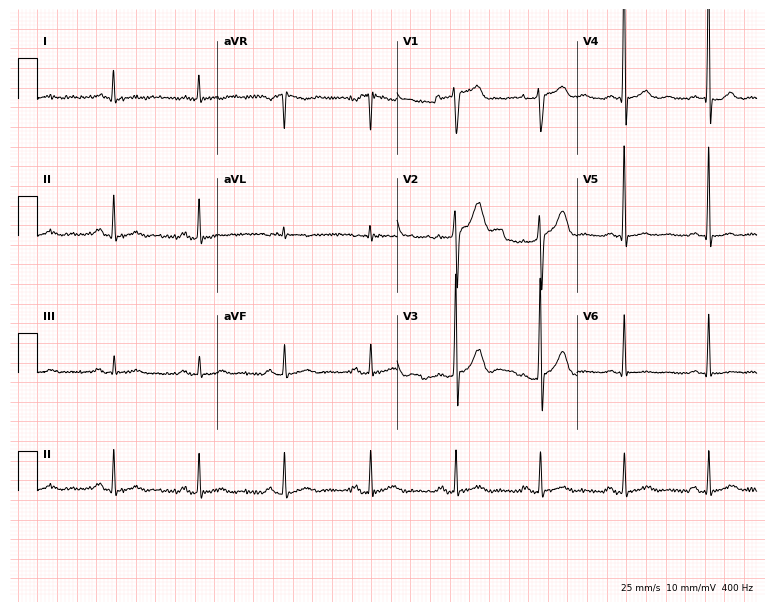
12-lead ECG from a man, 60 years old. Screened for six findings — first-degree AV block, right bundle branch block, left bundle branch block, sinus bradycardia, atrial fibrillation, sinus tachycardia — none is recorded.